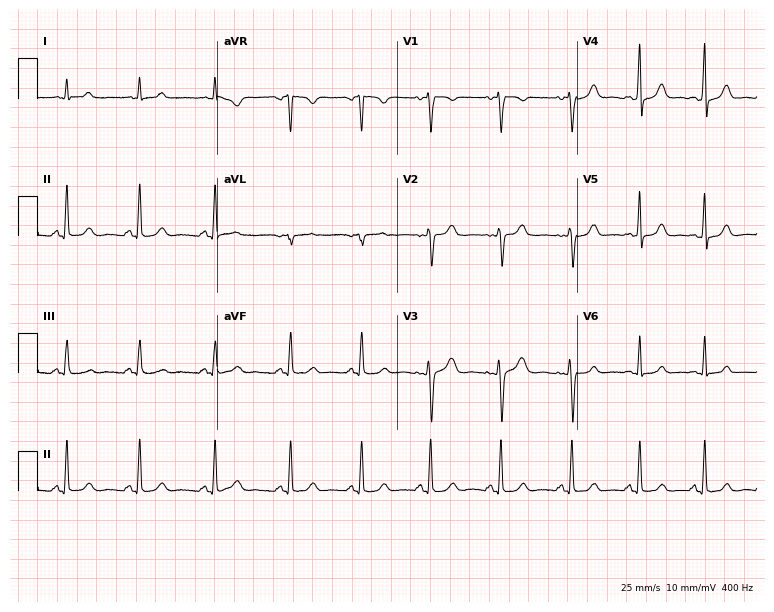
12-lead ECG from a 17-year-old female. Labelled as a normal ECG.